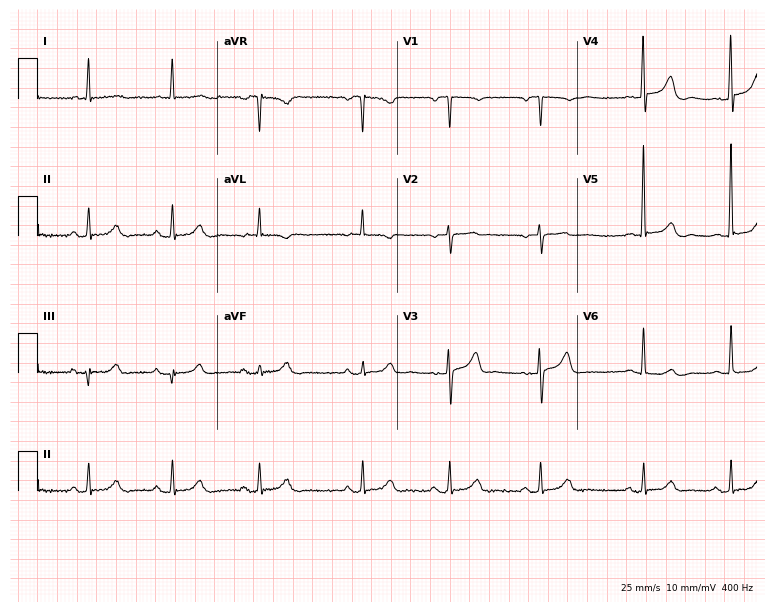
Standard 12-lead ECG recorded from an 86-year-old woman (7.3-second recording at 400 Hz). Read as a normal ECG.